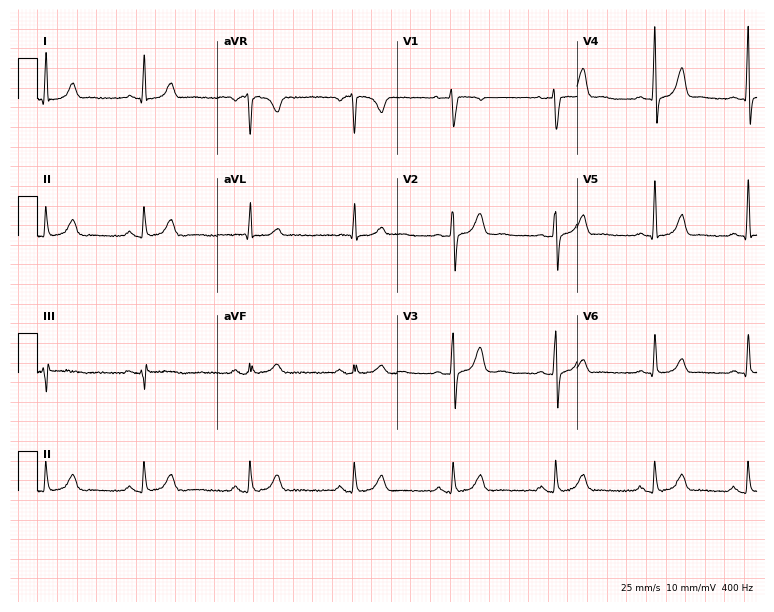
Electrocardiogram, a woman, 48 years old. Overall reading on record: normal ECG.